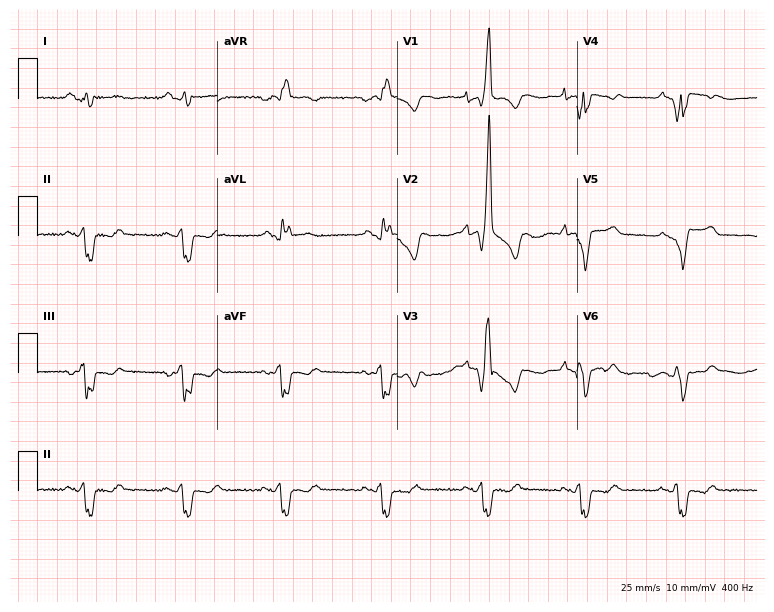
Electrocardiogram, a 49-year-old male patient. Interpretation includes right bundle branch block (RBBB).